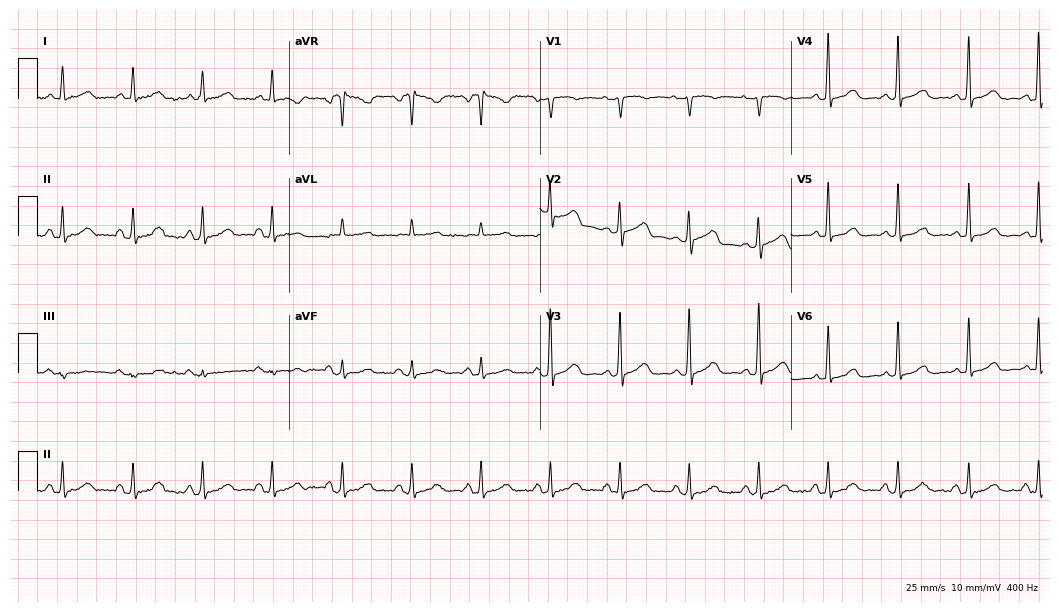
Resting 12-lead electrocardiogram. Patient: a female, 46 years old. None of these six findings is recorded: first-degree AV block, right bundle branch block, left bundle branch block, sinus bradycardia, atrial fibrillation, sinus tachycardia.